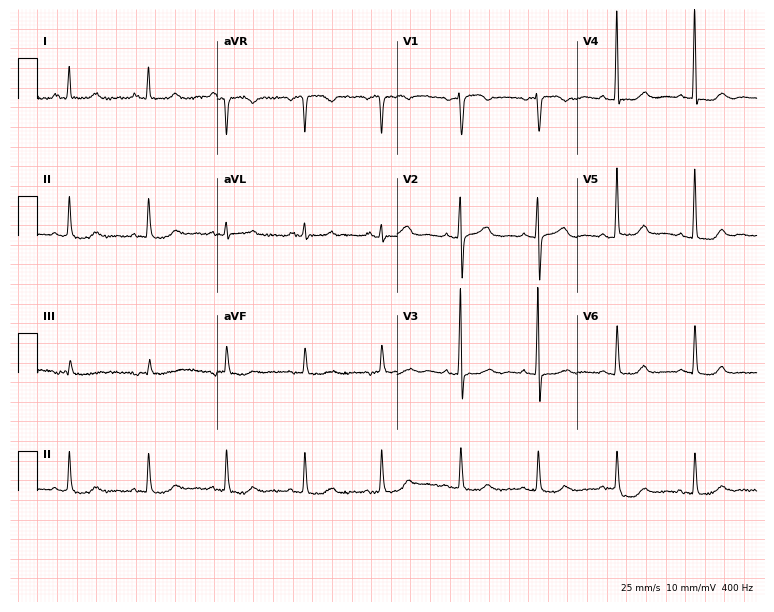
12-lead ECG from an 84-year-old female. Recorded interpretation: within normal limits.